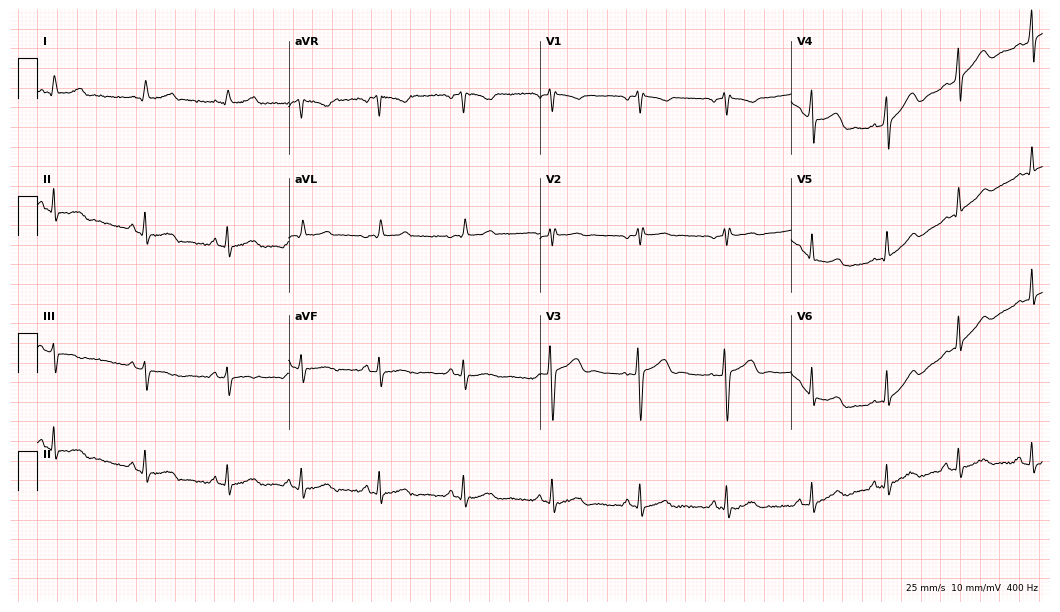
Electrocardiogram, a 23-year-old female. Overall reading on record: normal ECG.